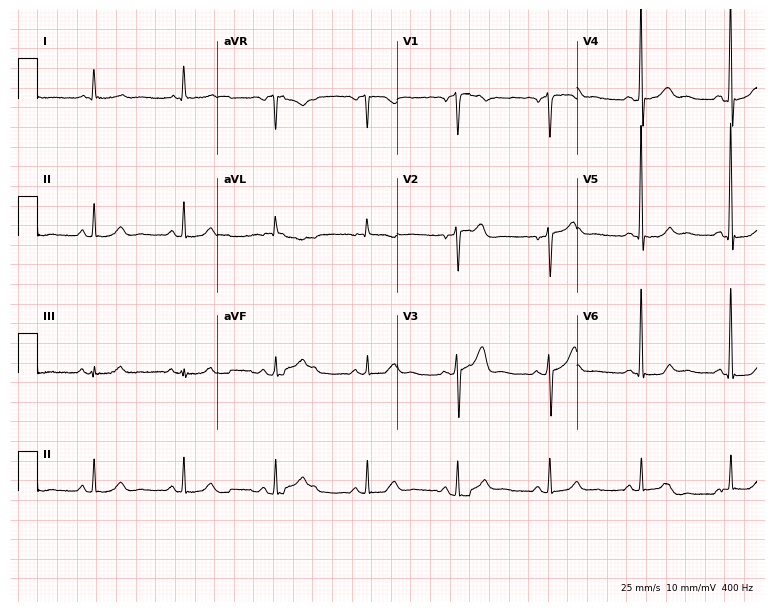
Resting 12-lead electrocardiogram (7.3-second recording at 400 Hz). Patient: a man, 61 years old. None of these six findings is recorded: first-degree AV block, right bundle branch block, left bundle branch block, sinus bradycardia, atrial fibrillation, sinus tachycardia. Other findings, if any, are not listed.